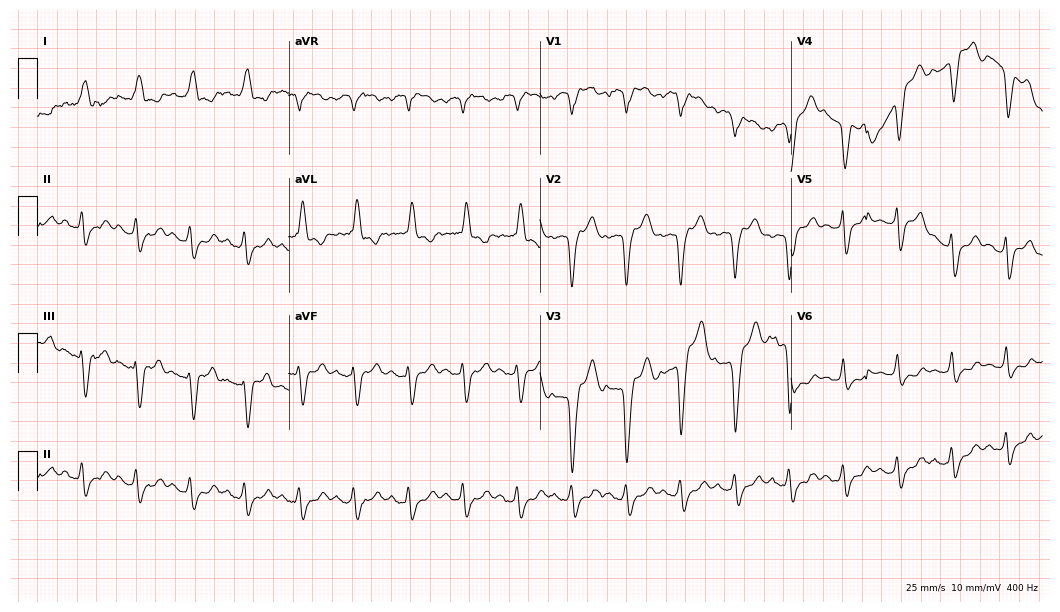
Resting 12-lead electrocardiogram. Patient: an 85-year-old female. The tracing shows left bundle branch block, sinus tachycardia (a sinus rate of 100 beats per minute or more).